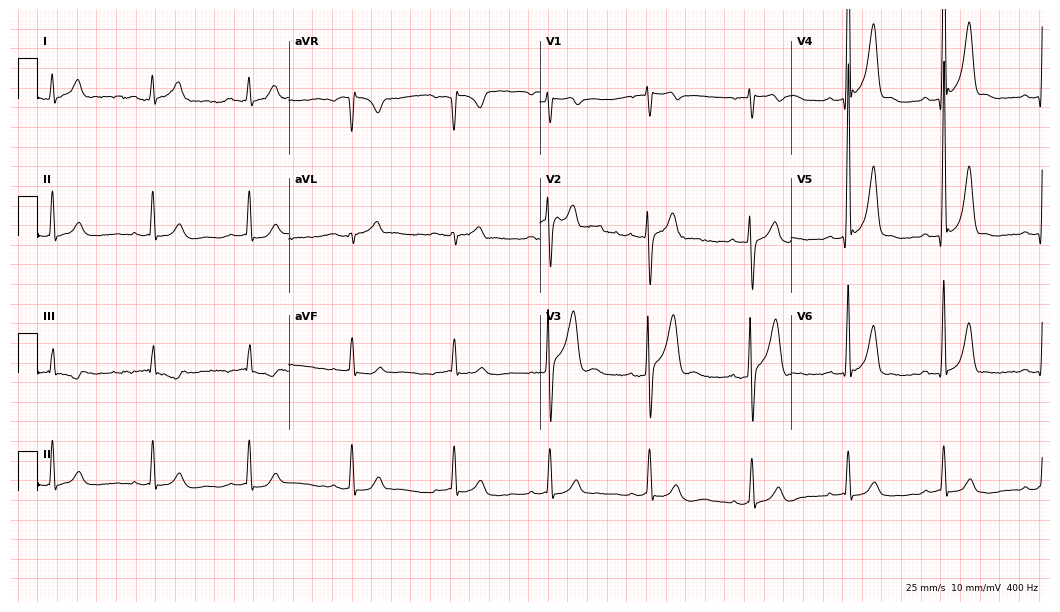
Standard 12-lead ECG recorded from a male, 32 years old (10.2-second recording at 400 Hz). None of these six findings is recorded: first-degree AV block, right bundle branch block, left bundle branch block, sinus bradycardia, atrial fibrillation, sinus tachycardia.